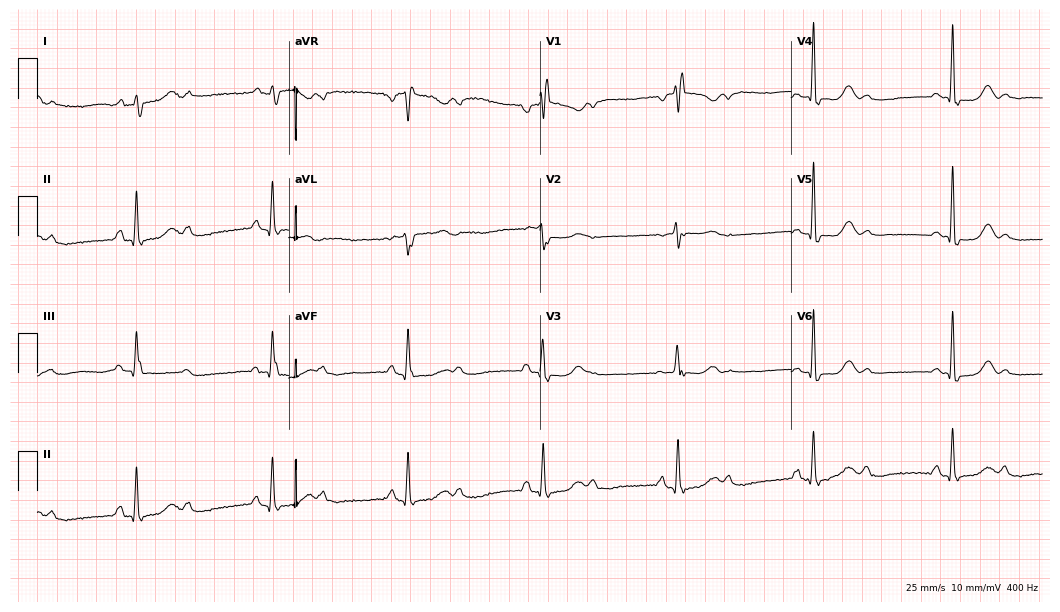
ECG (10.2-second recording at 400 Hz) — a female patient, 79 years old. Findings include right bundle branch block, sinus bradycardia (a sinus rate of 50 beats per minute or less).